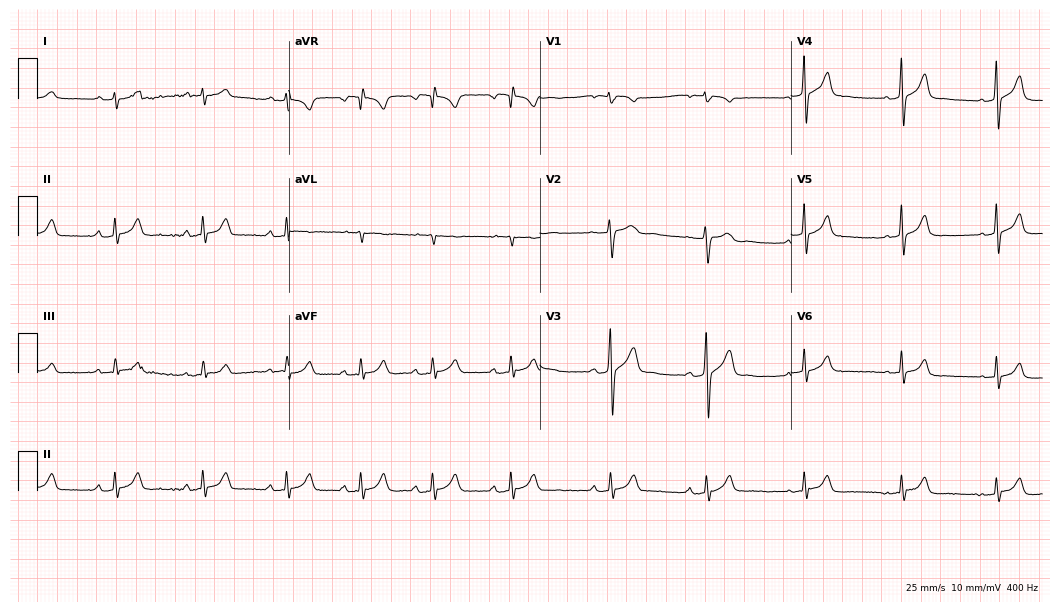
ECG — a female, 17 years old. Labelled as a normal ECG.